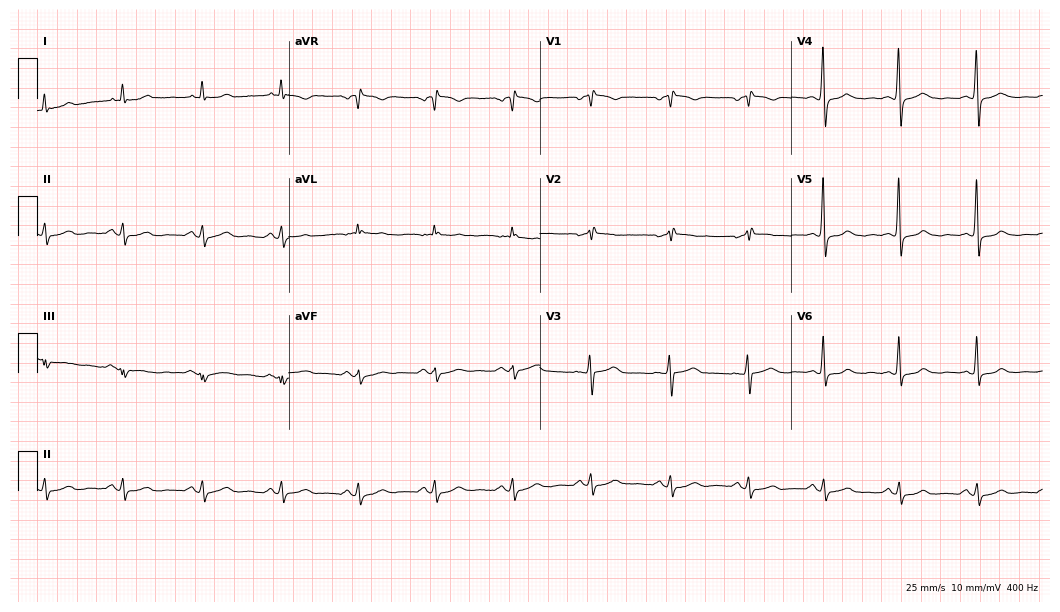
ECG (10.2-second recording at 400 Hz) — a female, 57 years old. Labelled as a normal ECG.